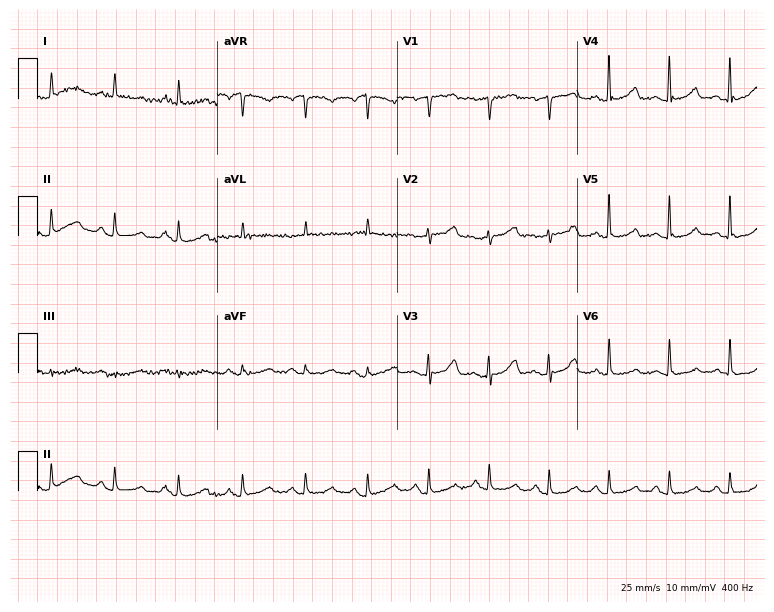
Electrocardiogram (7.3-second recording at 400 Hz), an 83-year-old female patient. Of the six screened findings (first-degree AV block, right bundle branch block, left bundle branch block, sinus bradycardia, atrial fibrillation, sinus tachycardia), none is recorded. Other findings, if any, are not listed.